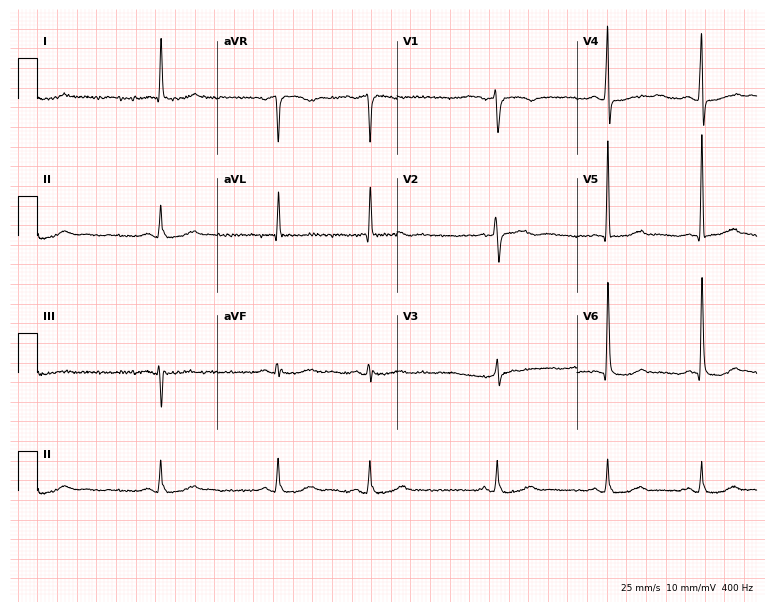
ECG (7.3-second recording at 400 Hz) — a 78-year-old female patient. Screened for six findings — first-degree AV block, right bundle branch block (RBBB), left bundle branch block (LBBB), sinus bradycardia, atrial fibrillation (AF), sinus tachycardia — none is recorded.